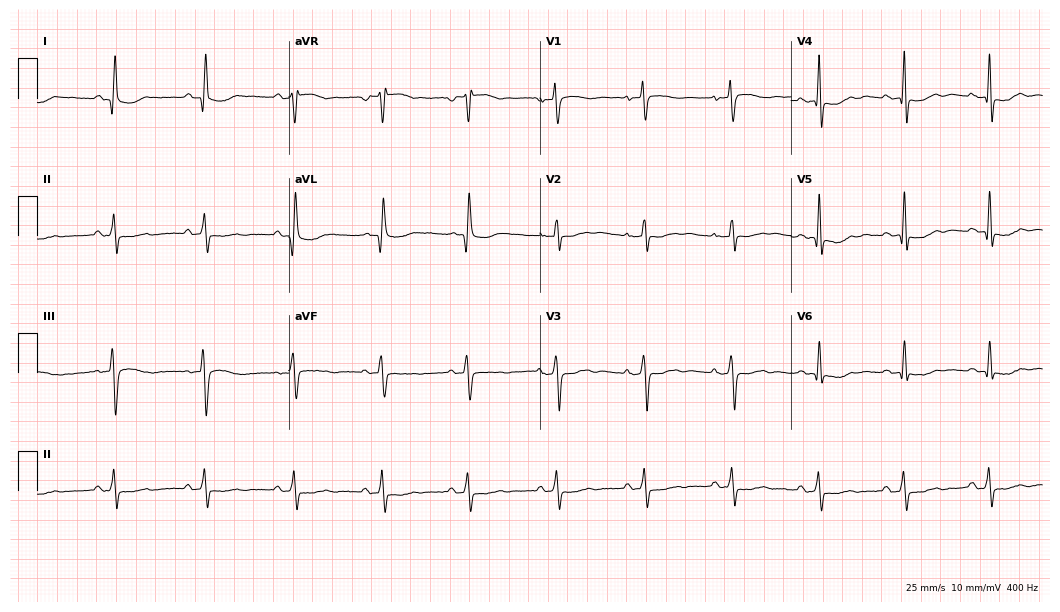
Electrocardiogram, a 59-year-old female. Of the six screened findings (first-degree AV block, right bundle branch block (RBBB), left bundle branch block (LBBB), sinus bradycardia, atrial fibrillation (AF), sinus tachycardia), none is recorded. Findings outside these six are not listed.